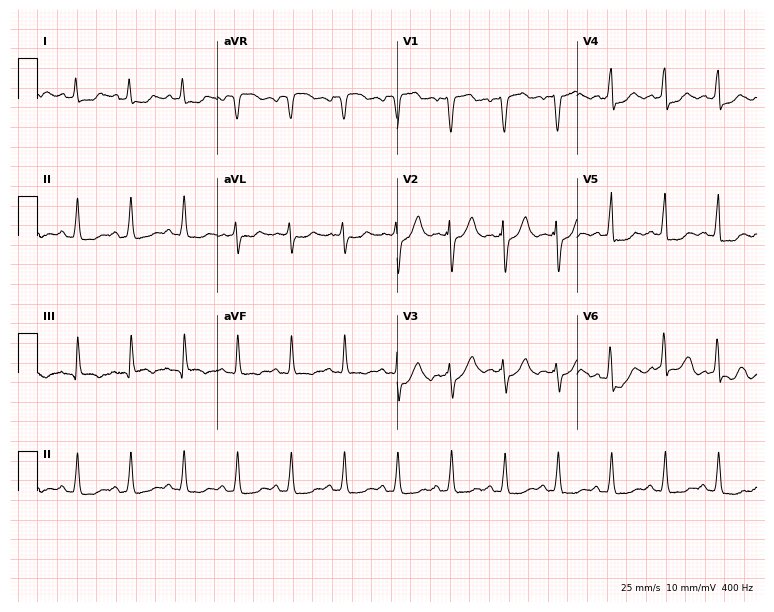
ECG (7.3-second recording at 400 Hz) — a male, 71 years old. Findings include sinus tachycardia (a sinus rate of 100 beats per minute or more).